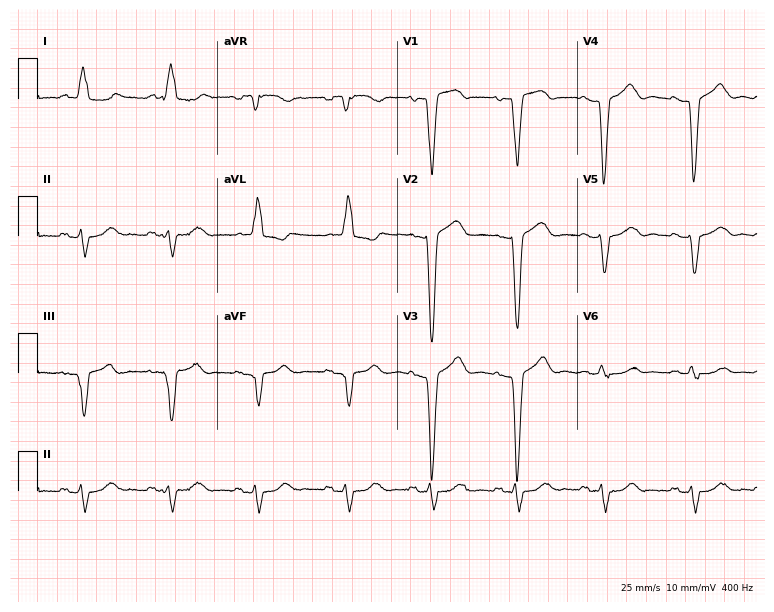
Standard 12-lead ECG recorded from a female patient, 73 years old (7.3-second recording at 400 Hz). The tracing shows left bundle branch block (LBBB).